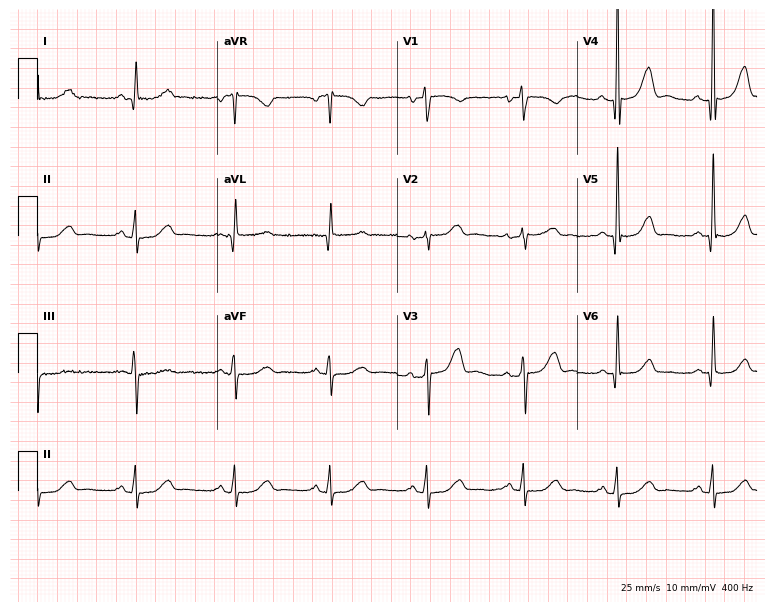
Electrocardiogram (7.3-second recording at 400 Hz), a 76-year-old female patient. Overall reading on record: normal ECG.